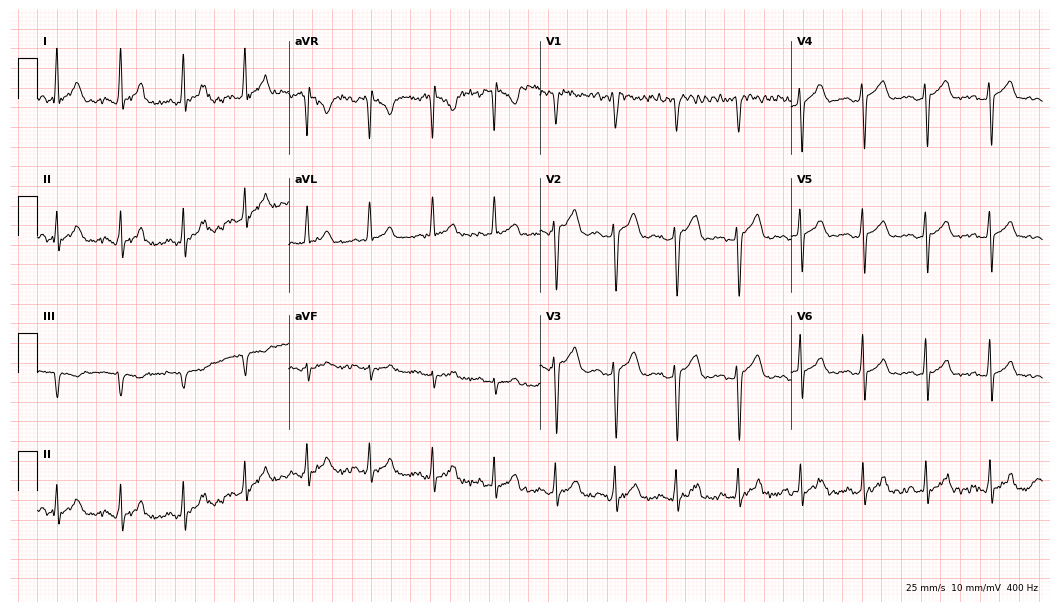
Resting 12-lead electrocardiogram (10.2-second recording at 400 Hz). Patient: a male, 23 years old. Read as a normal ECG.